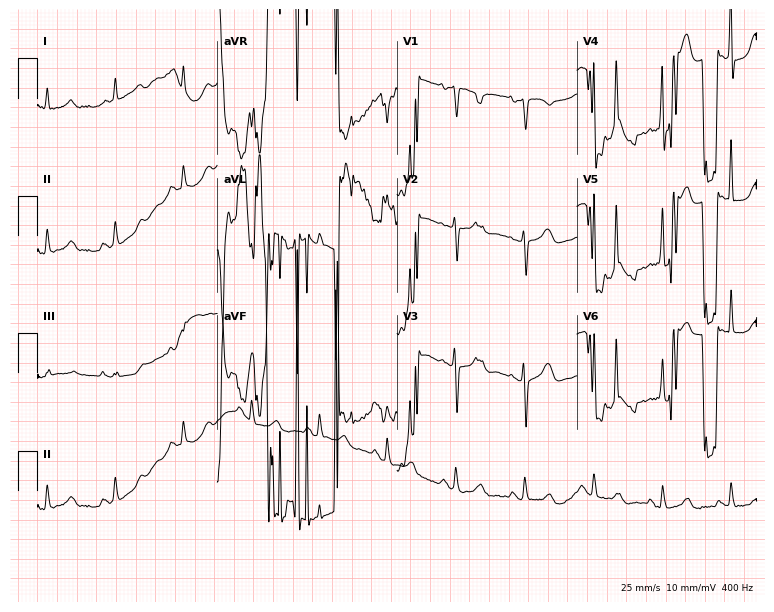
12-lead ECG from a 78-year-old female patient. No first-degree AV block, right bundle branch block, left bundle branch block, sinus bradycardia, atrial fibrillation or sinus tachycardia recorded for this tracing.